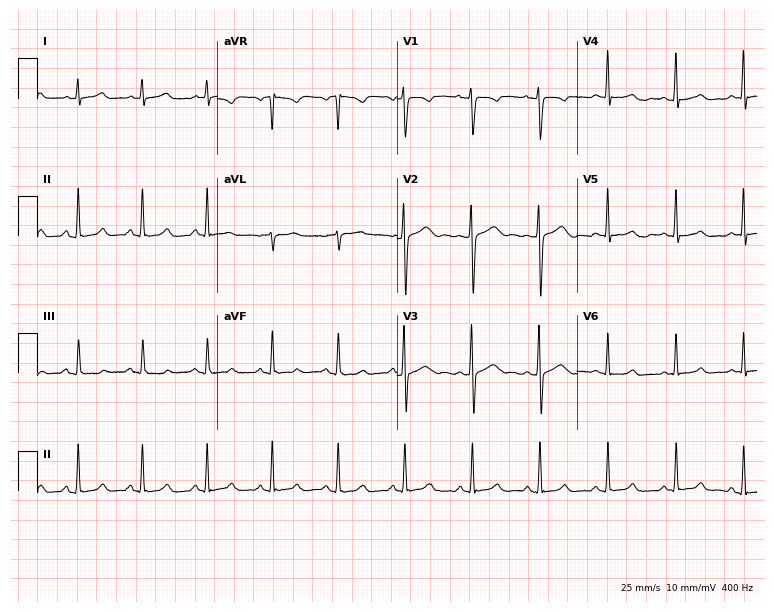
12-lead ECG from a female, 26 years old. Recorded interpretation: within normal limits.